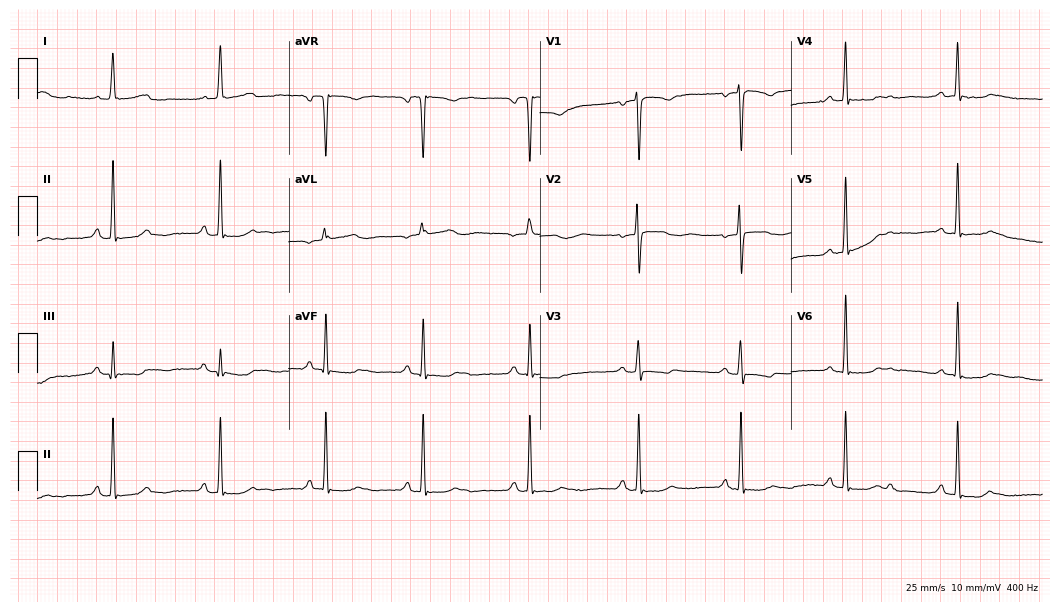
12-lead ECG from a 57-year-old woman (10.2-second recording at 400 Hz). No first-degree AV block, right bundle branch block, left bundle branch block, sinus bradycardia, atrial fibrillation or sinus tachycardia recorded for this tracing.